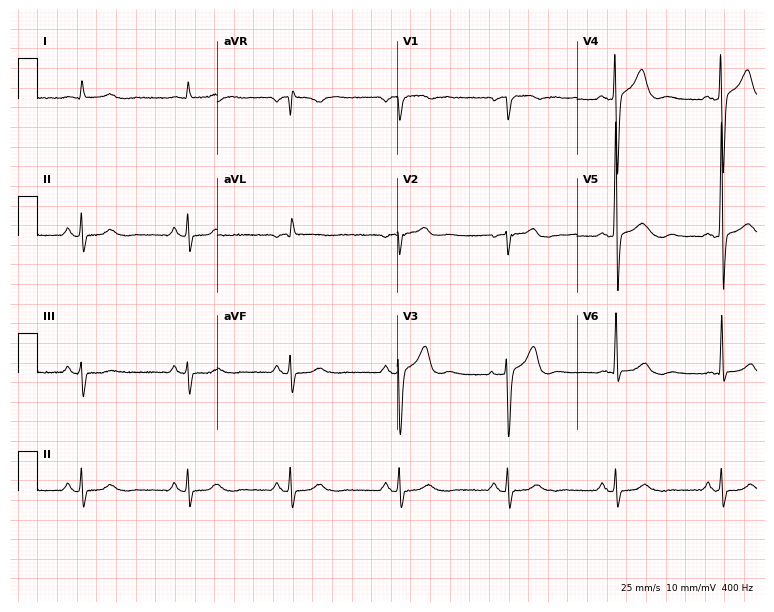
12-lead ECG from a man, 61 years old (7.3-second recording at 400 Hz). Recorded interpretation: within normal limits.